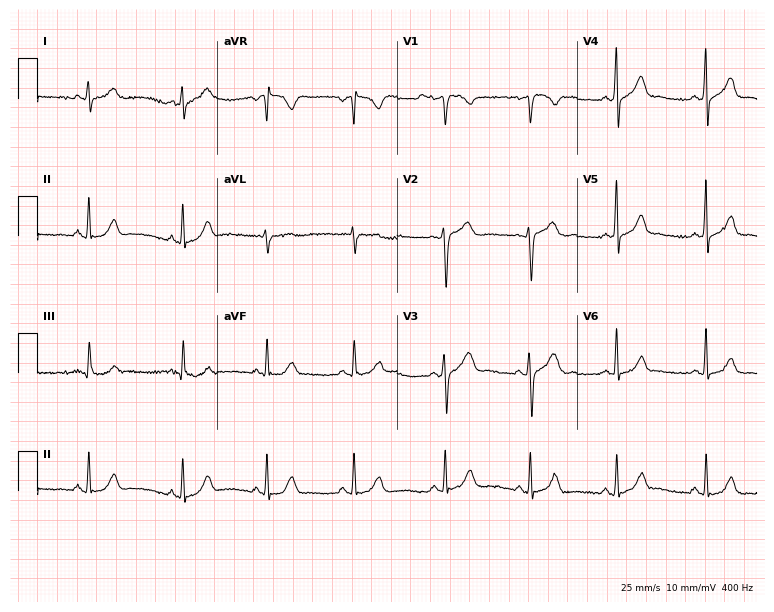
ECG (7.3-second recording at 400 Hz) — a female, 23 years old. Labelled as a normal ECG.